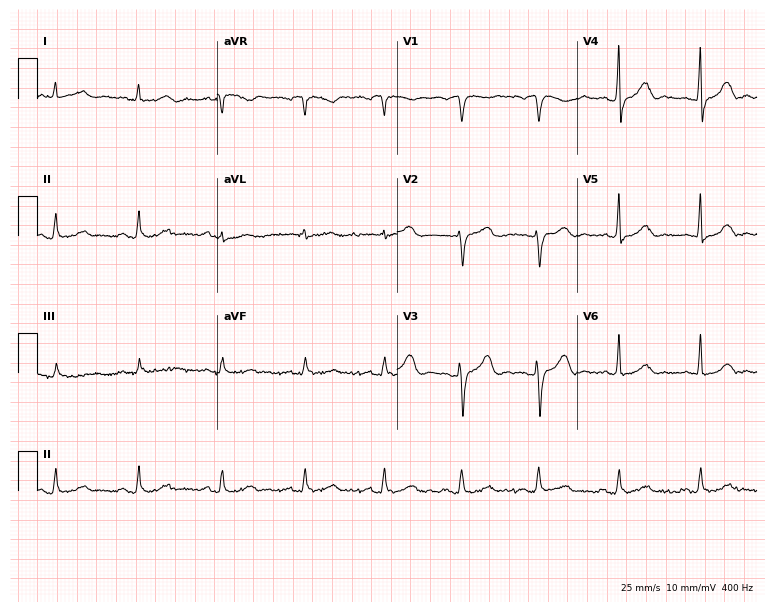
12-lead ECG (7.3-second recording at 400 Hz) from a male, 57 years old. Screened for six findings — first-degree AV block, right bundle branch block, left bundle branch block, sinus bradycardia, atrial fibrillation, sinus tachycardia — none is recorded.